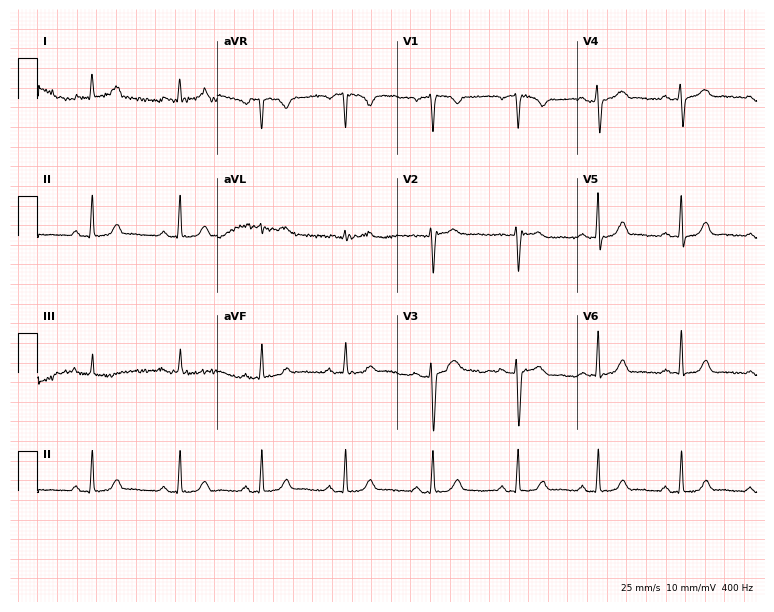
Resting 12-lead electrocardiogram. Patient: a woman, 37 years old. Read as a normal ECG.